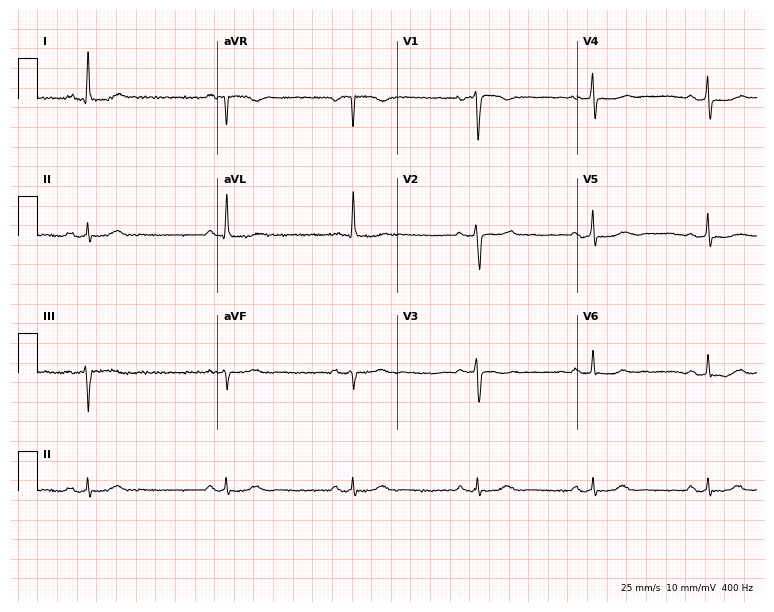
Standard 12-lead ECG recorded from a woman, 69 years old. The tracing shows sinus bradycardia (a sinus rate of 50 beats per minute or less).